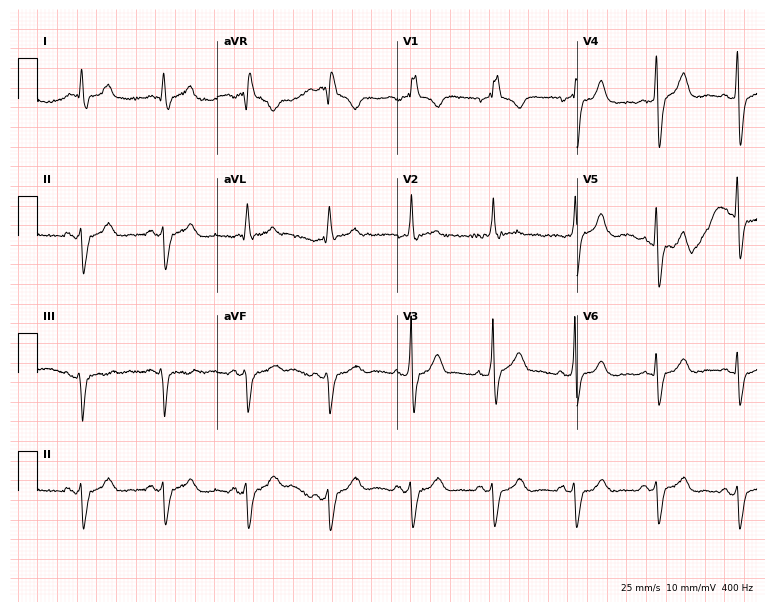
Resting 12-lead electrocardiogram. Patient: a male, 80 years old. None of these six findings is recorded: first-degree AV block, right bundle branch block, left bundle branch block, sinus bradycardia, atrial fibrillation, sinus tachycardia. Only these six findings were labelled.